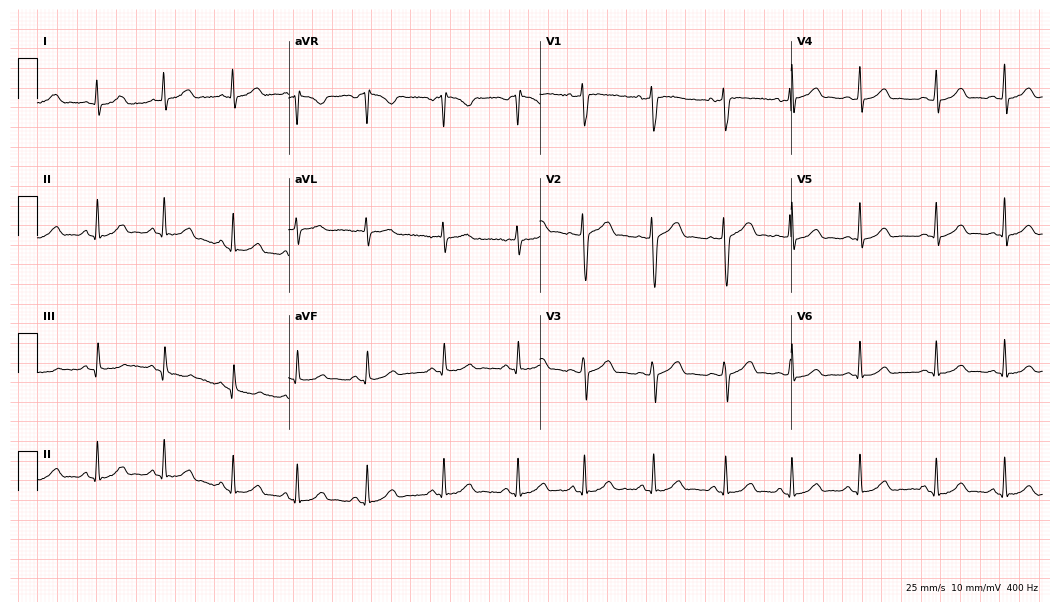
Standard 12-lead ECG recorded from a 25-year-old woman. Read as a normal ECG.